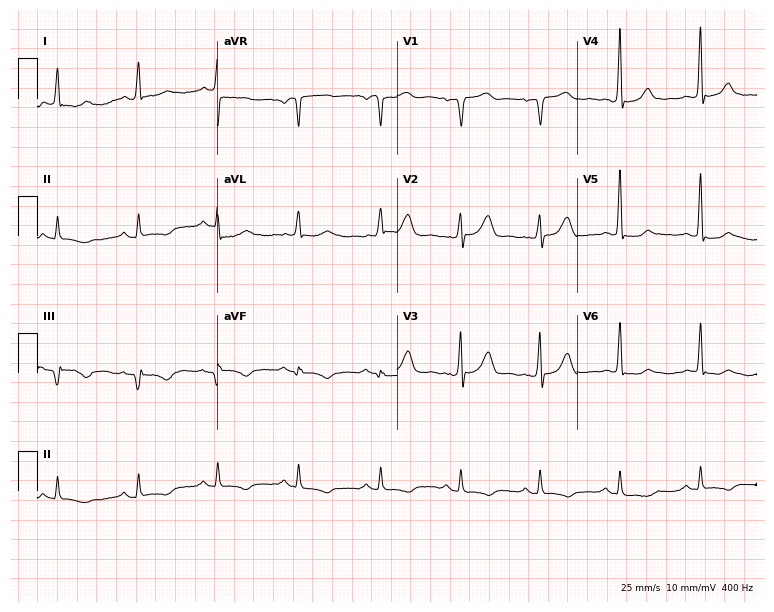
12-lead ECG from a 64-year-old man (7.3-second recording at 400 Hz). No first-degree AV block, right bundle branch block (RBBB), left bundle branch block (LBBB), sinus bradycardia, atrial fibrillation (AF) or sinus tachycardia recorded for this tracing. Other findings, if any, are not listed.